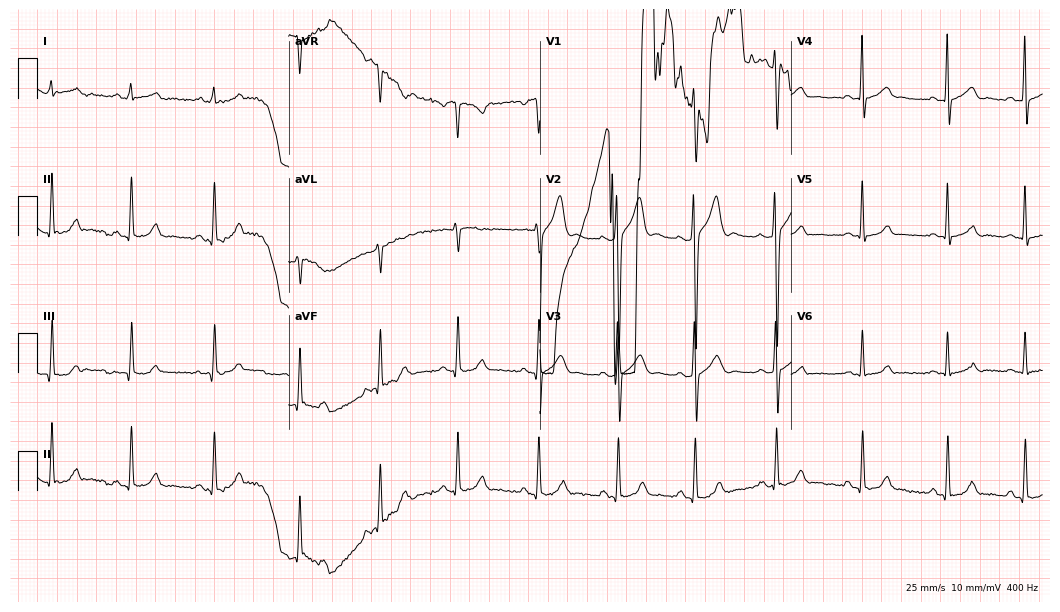
Electrocardiogram (10.2-second recording at 400 Hz), a male, 25 years old. Of the six screened findings (first-degree AV block, right bundle branch block (RBBB), left bundle branch block (LBBB), sinus bradycardia, atrial fibrillation (AF), sinus tachycardia), none is recorded.